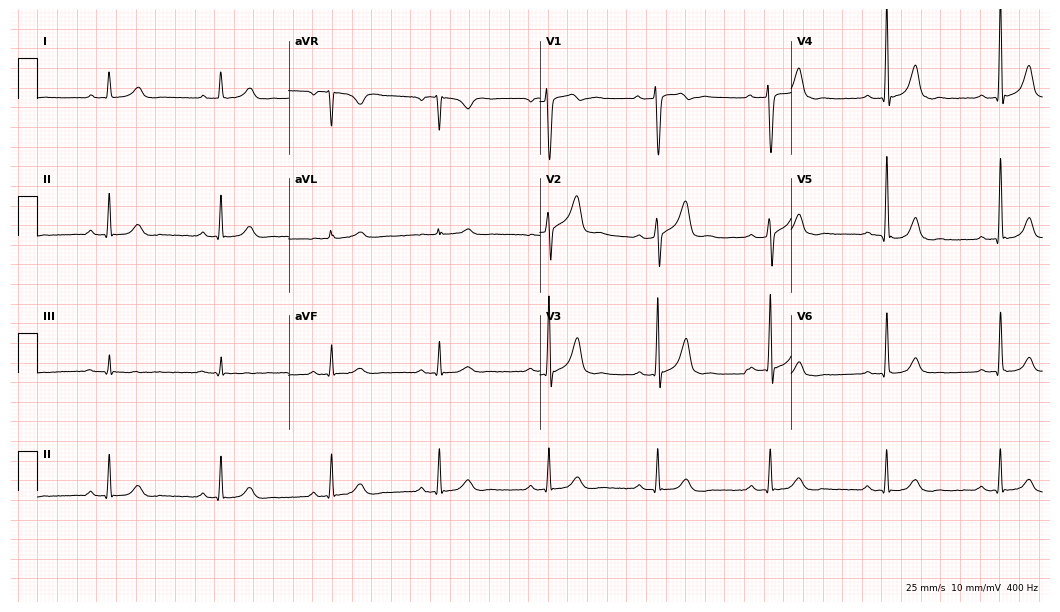
12-lead ECG (10.2-second recording at 400 Hz) from a 58-year-old male. Labelled as a normal ECG.